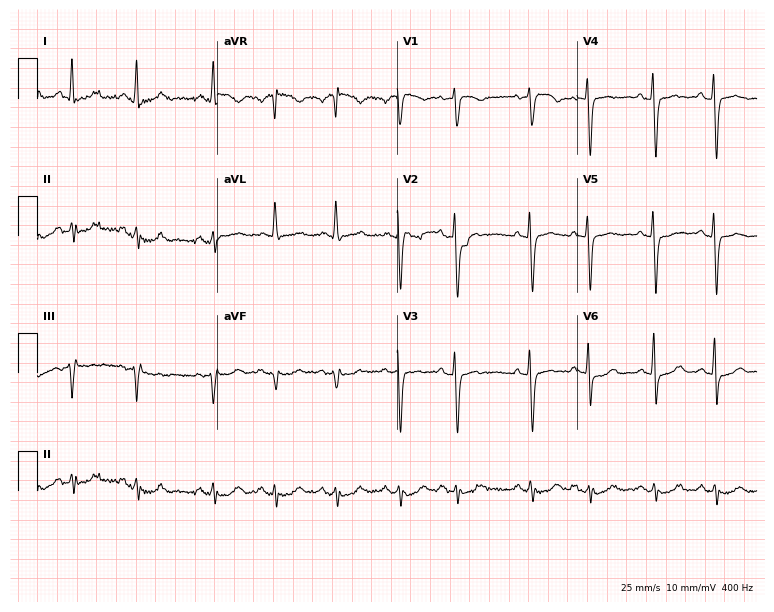
ECG — a woman, 81 years old. Screened for six findings — first-degree AV block, right bundle branch block, left bundle branch block, sinus bradycardia, atrial fibrillation, sinus tachycardia — none is recorded. Only these six findings were labelled.